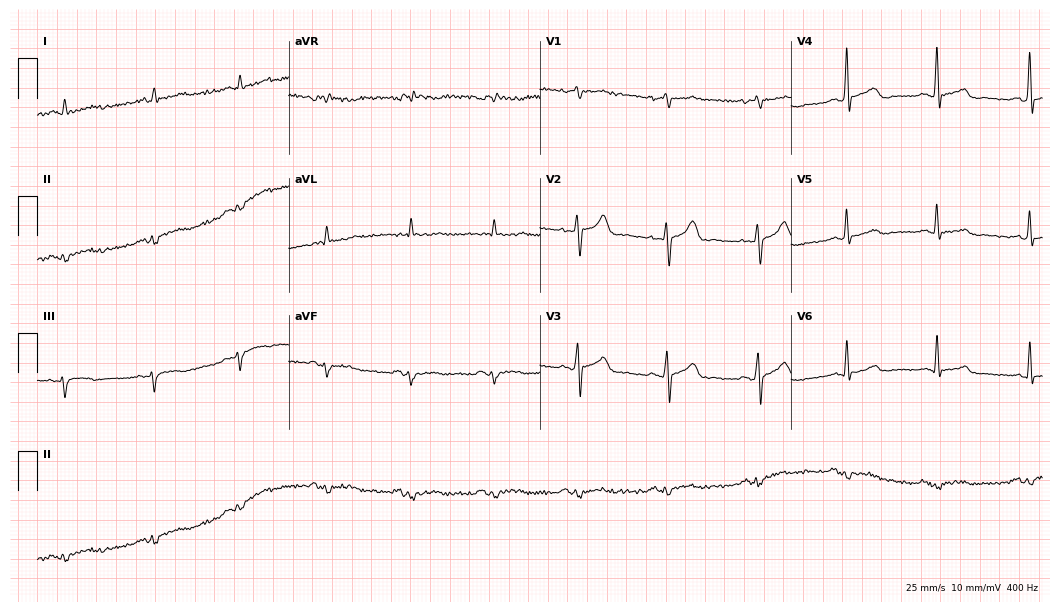
Resting 12-lead electrocardiogram. Patient: a male, 28 years old. None of these six findings is recorded: first-degree AV block, right bundle branch block, left bundle branch block, sinus bradycardia, atrial fibrillation, sinus tachycardia. Other findings, if any, are not listed.